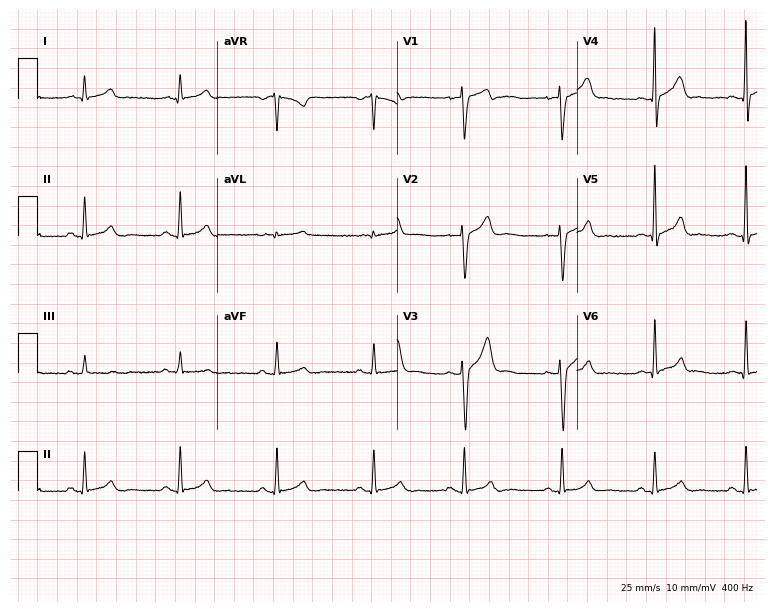
Electrocardiogram, a male patient, 25 years old. Of the six screened findings (first-degree AV block, right bundle branch block, left bundle branch block, sinus bradycardia, atrial fibrillation, sinus tachycardia), none is recorded.